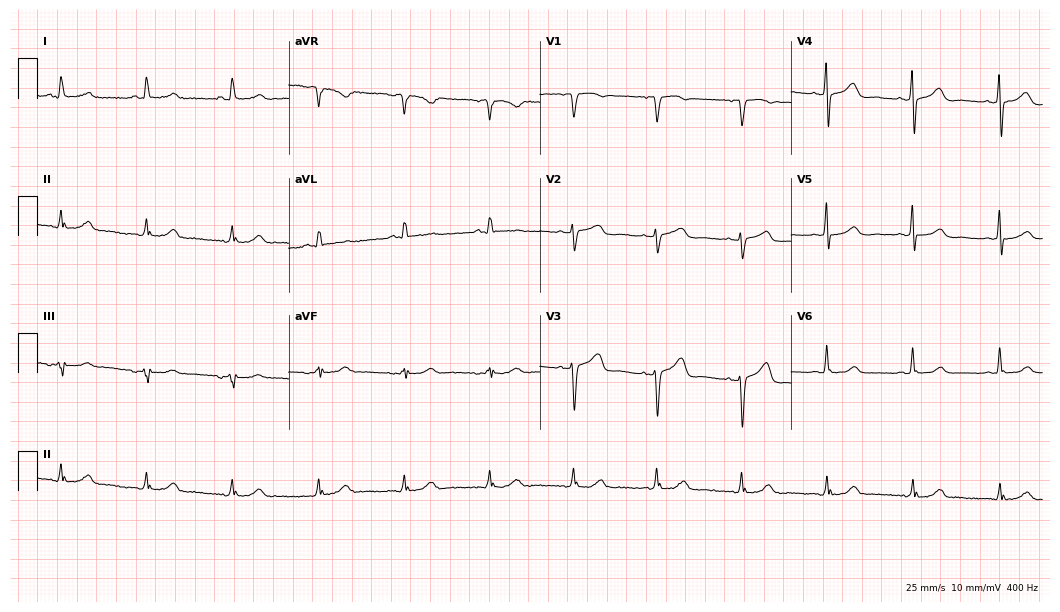
ECG — a female, 75 years old. Labelled as a normal ECG.